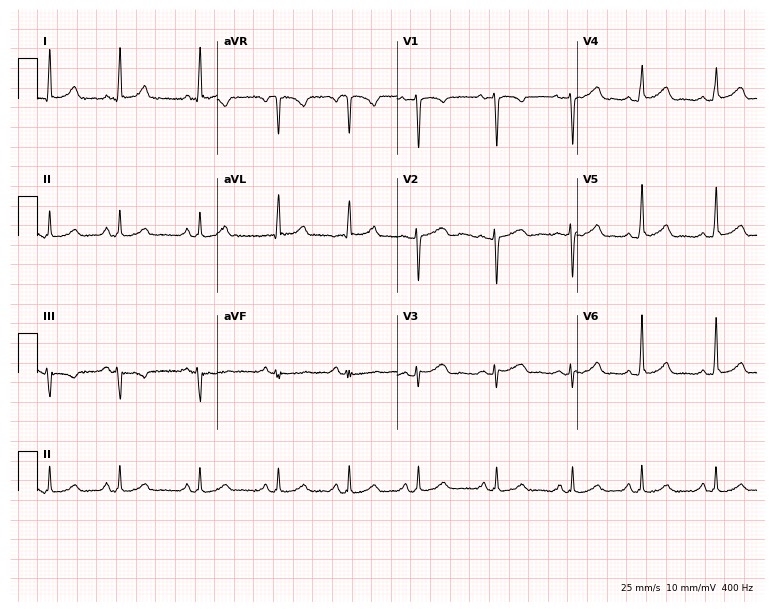
ECG (7.3-second recording at 400 Hz) — a 44-year-old woman. Labelled as a normal ECG.